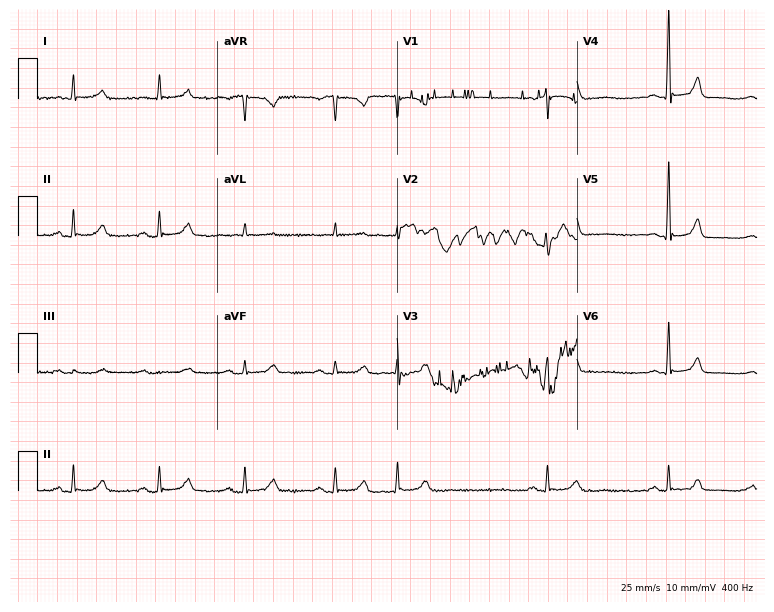
ECG (7.3-second recording at 400 Hz) — a female patient, 85 years old. Screened for six findings — first-degree AV block, right bundle branch block, left bundle branch block, sinus bradycardia, atrial fibrillation, sinus tachycardia — none is recorded.